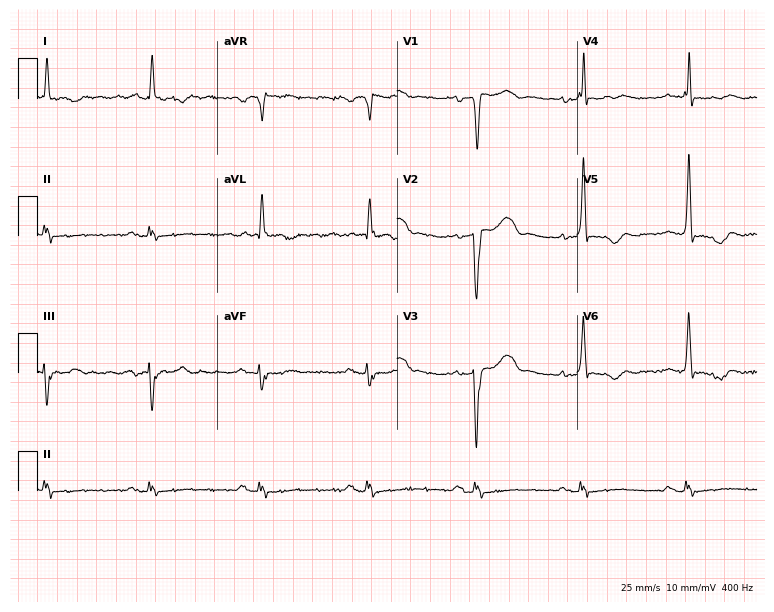
Electrocardiogram (7.3-second recording at 400 Hz), a 67-year-old female. Of the six screened findings (first-degree AV block, right bundle branch block, left bundle branch block, sinus bradycardia, atrial fibrillation, sinus tachycardia), none is recorded.